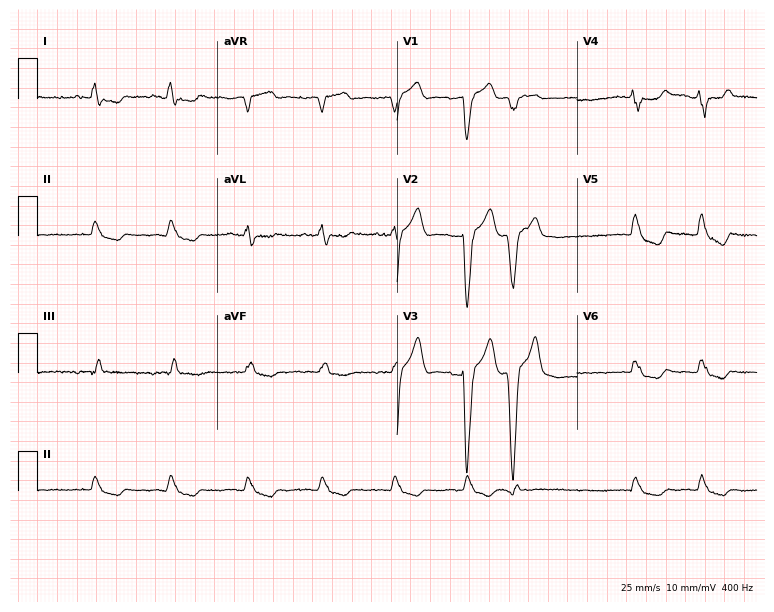
12-lead ECG from a man, 87 years old. Screened for six findings — first-degree AV block, right bundle branch block, left bundle branch block, sinus bradycardia, atrial fibrillation, sinus tachycardia — none is recorded.